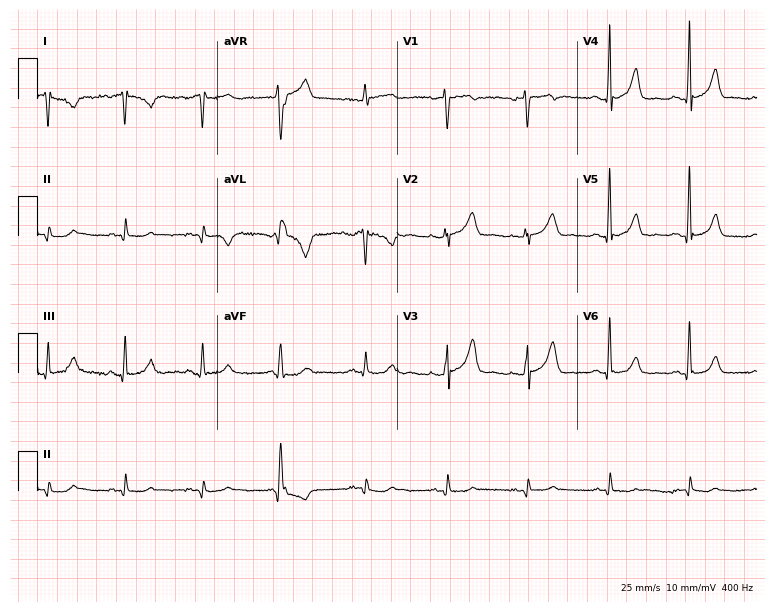
12-lead ECG (7.3-second recording at 400 Hz) from a 28-year-old female patient. Screened for six findings — first-degree AV block, right bundle branch block, left bundle branch block, sinus bradycardia, atrial fibrillation, sinus tachycardia — none is recorded. Only these six findings were labelled.